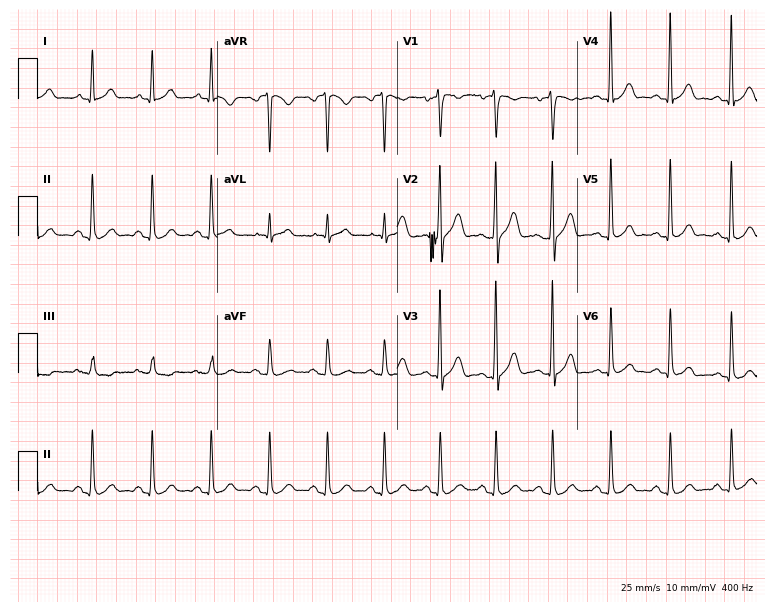
ECG — a male patient, 41 years old. Labelled as a normal ECG.